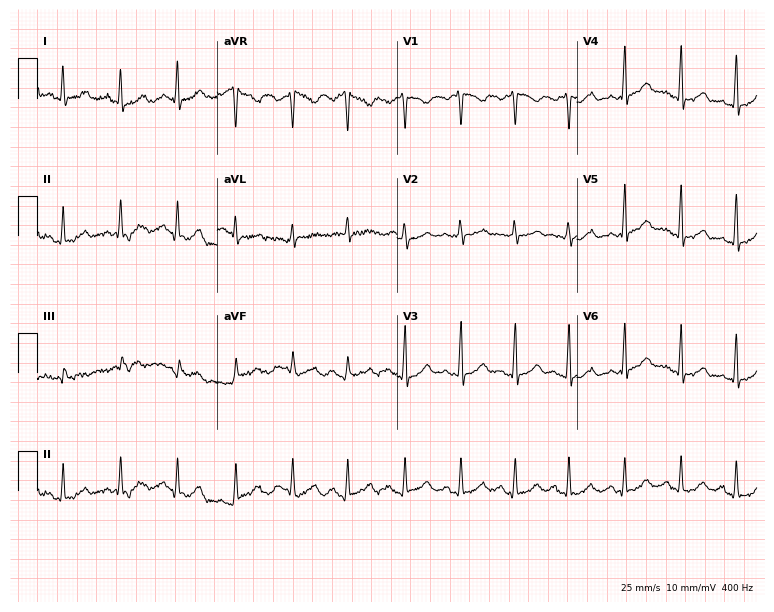
Electrocardiogram (7.3-second recording at 400 Hz), a female patient, 32 years old. Overall reading on record: normal ECG.